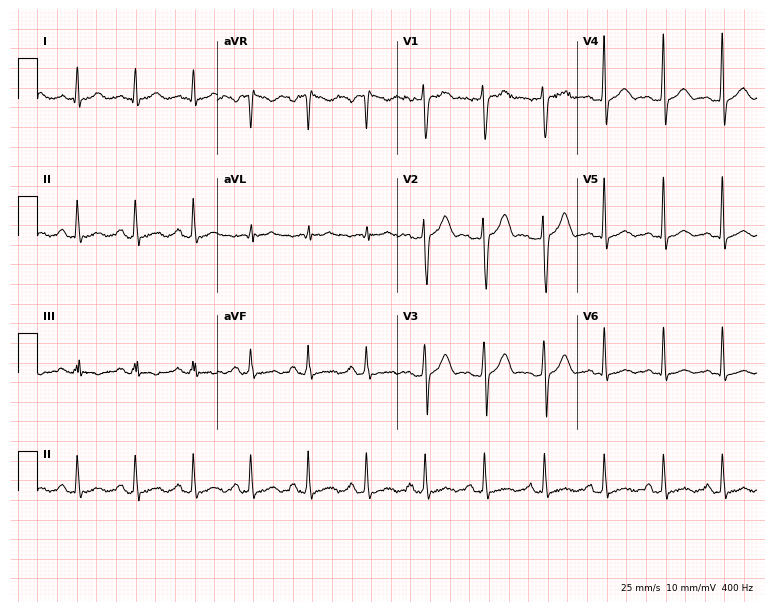
12-lead ECG from a male, 29 years old. Findings include sinus tachycardia (a sinus rate of 100 beats per minute or more).